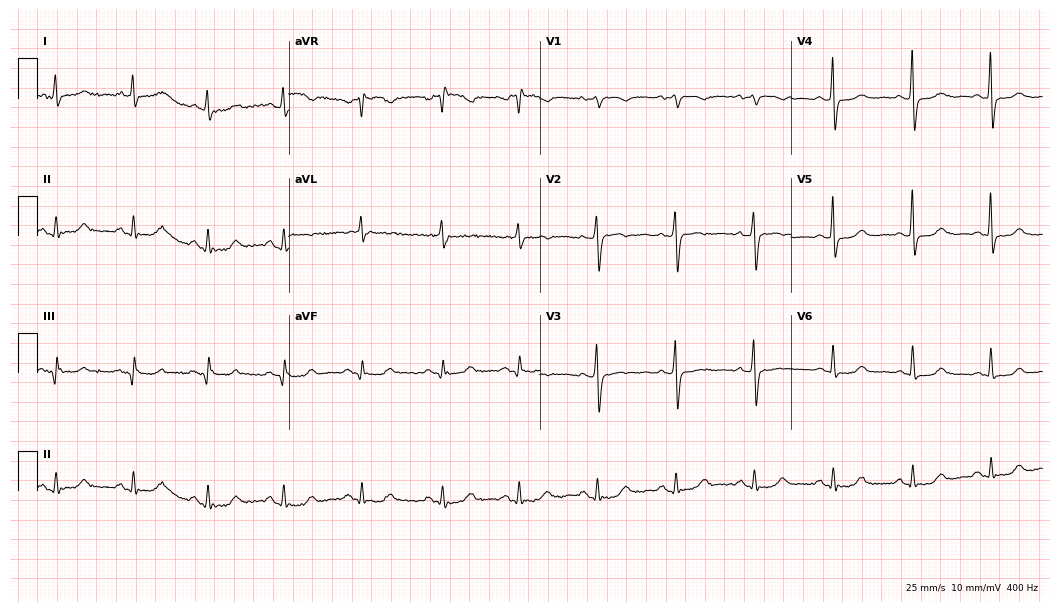
Standard 12-lead ECG recorded from an 83-year-old woman. Read as a normal ECG.